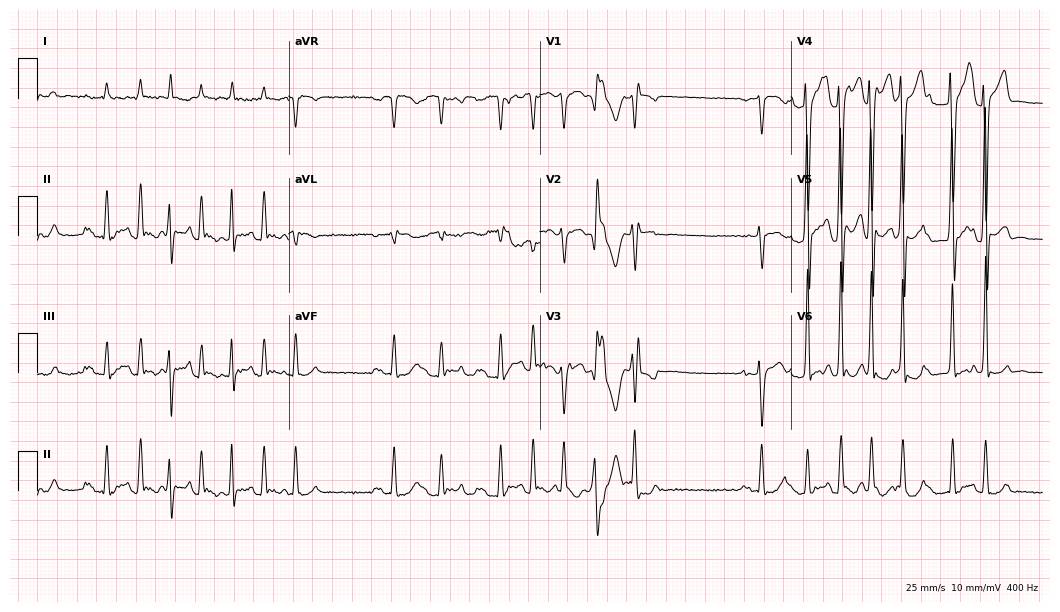
Standard 12-lead ECG recorded from a man, 59 years old (10.2-second recording at 400 Hz). The tracing shows atrial fibrillation (AF).